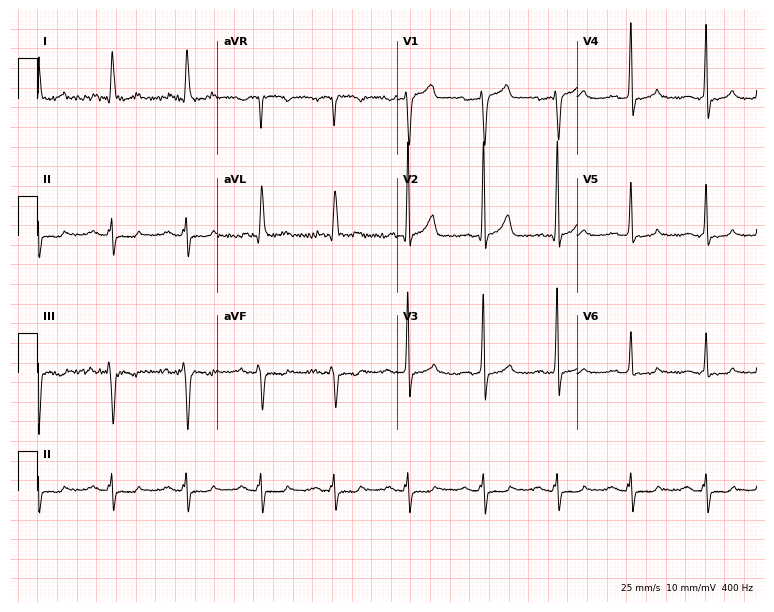
Standard 12-lead ECG recorded from a 72-year-old male patient. None of these six findings is recorded: first-degree AV block, right bundle branch block (RBBB), left bundle branch block (LBBB), sinus bradycardia, atrial fibrillation (AF), sinus tachycardia. Other findings, if any, are not listed.